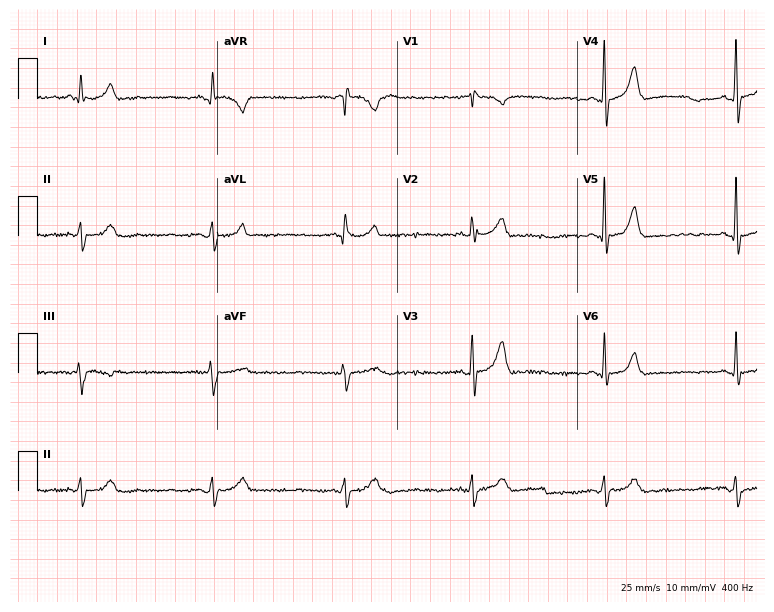
12-lead ECG (7.3-second recording at 400 Hz) from a 72-year-old man. Screened for six findings — first-degree AV block, right bundle branch block (RBBB), left bundle branch block (LBBB), sinus bradycardia, atrial fibrillation (AF), sinus tachycardia — none is recorded. Only these six findings were labelled.